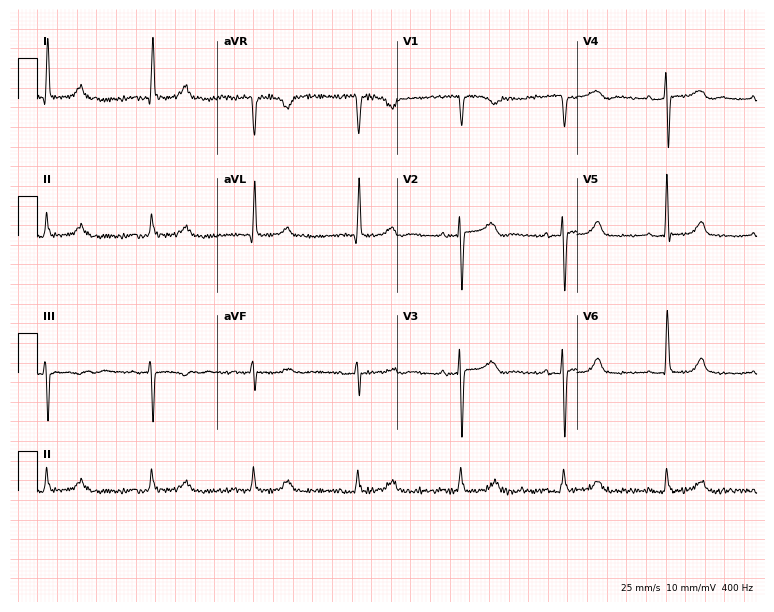
Standard 12-lead ECG recorded from a woman, 77 years old. Read as a normal ECG.